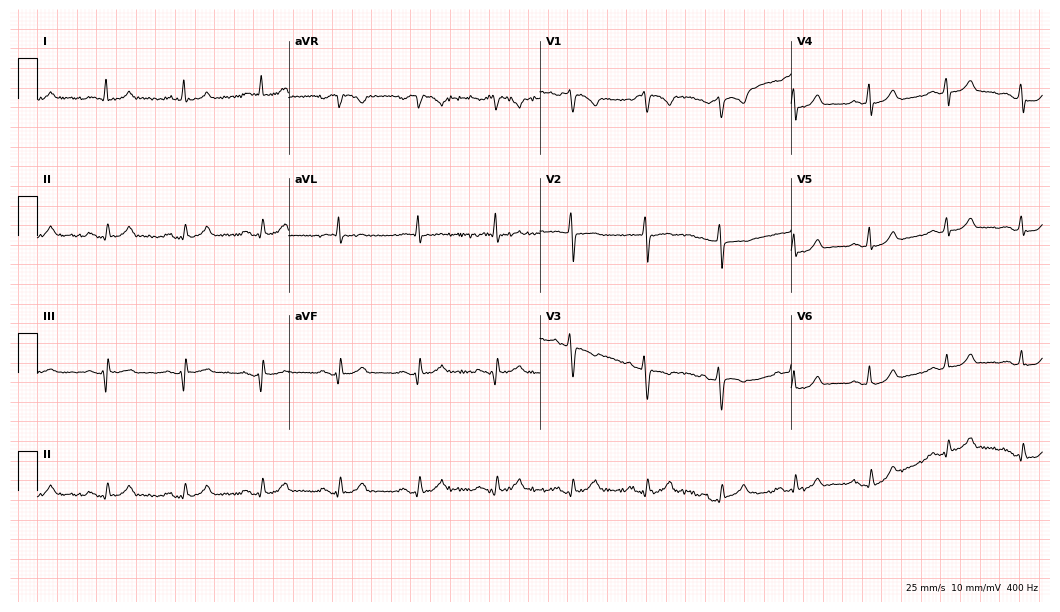
Standard 12-lead ECG recorded from a 64-year-old male (10.2-second recording at 400 Hz). Read as a normal ECG.